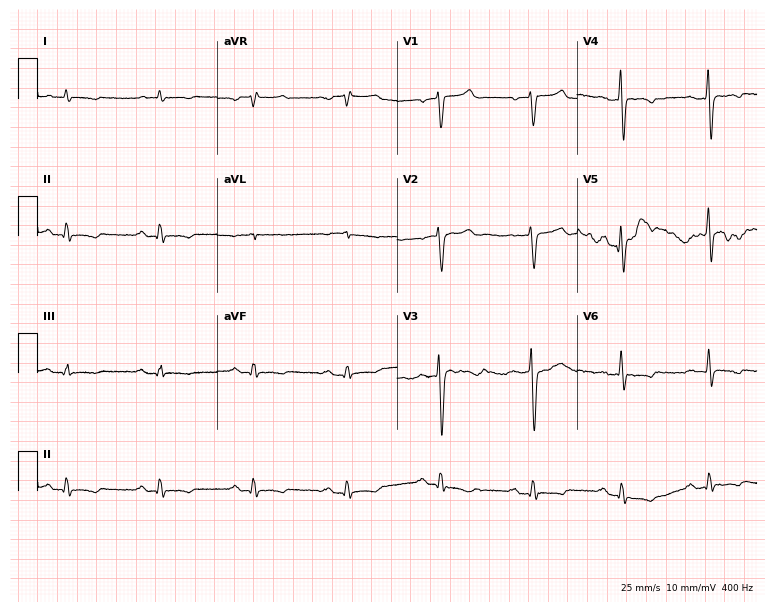
ECG (7.3-second recording at 400 Hz) — a 53-year-old male patient. Screened for six findings — first-degree AV block, right bundle branch block (RBBB), left bundle branch block (LBBB), sinus bradycardia, atrial fibrillation (AF), sinus tachycardia — none is recorded. Other findings, if any, are not listed.